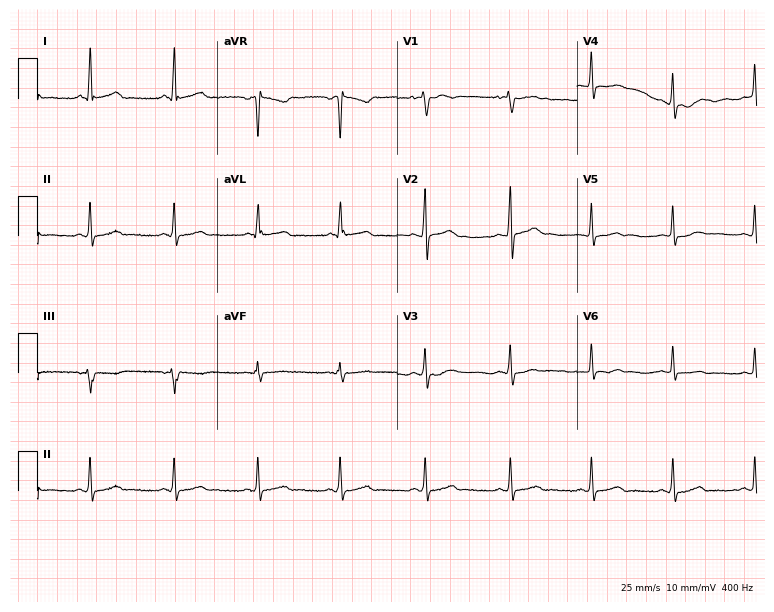
ECG (7.3-second recording at 400 Hz) — a female, 33 years old. Screened for six findings — first-degree AV block, right bundle branch block, left bundle branch block, sinus bradycardia, atrial fibrillation, sinus tachycardia — none is recorded.